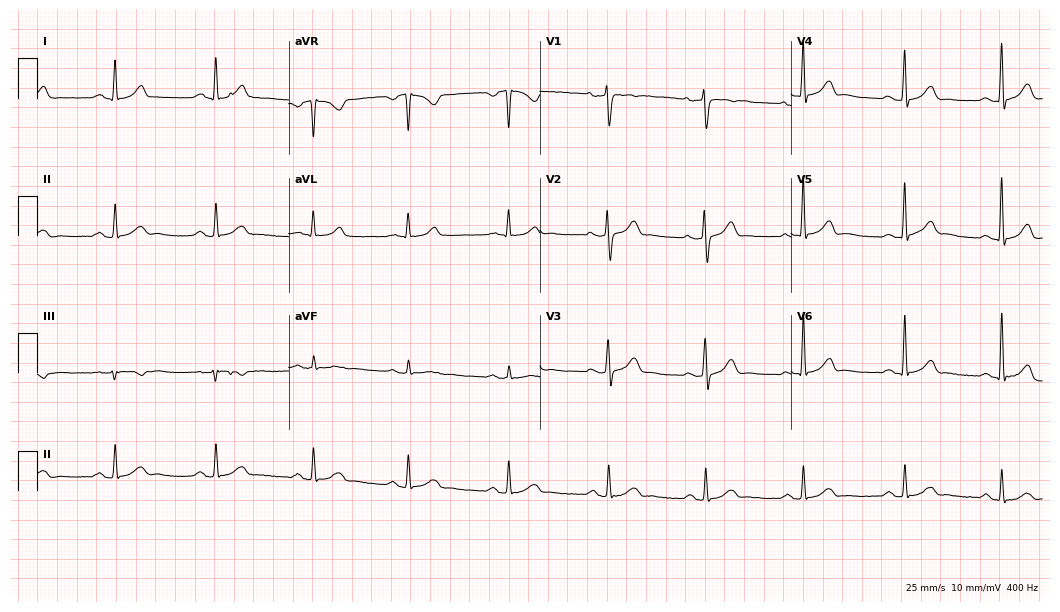
Resting 12-lead electrocardiogram (10.2-second recording at 400 Hz). Patient: a 49-year-old male. None of these six findings is recorded: first-degree AV block, right bundle branch block, left bundle branch block, sinus bradycardia, atrial fibrillation, sinus tachycardia.